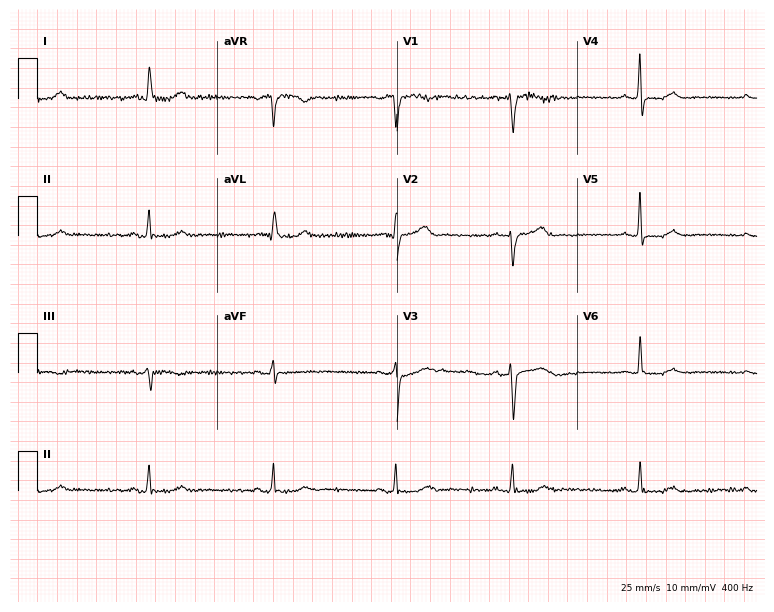
ECG — a 64-year-old woman. Screened for six findings — first-degree AV block, right bundle branch block (RBBB), left bundle branch block (LBBB), sinus bradycardia, atrial fibrillation (AF), sinus tachycardia — none is recorded. Findings outside these six are not listed.